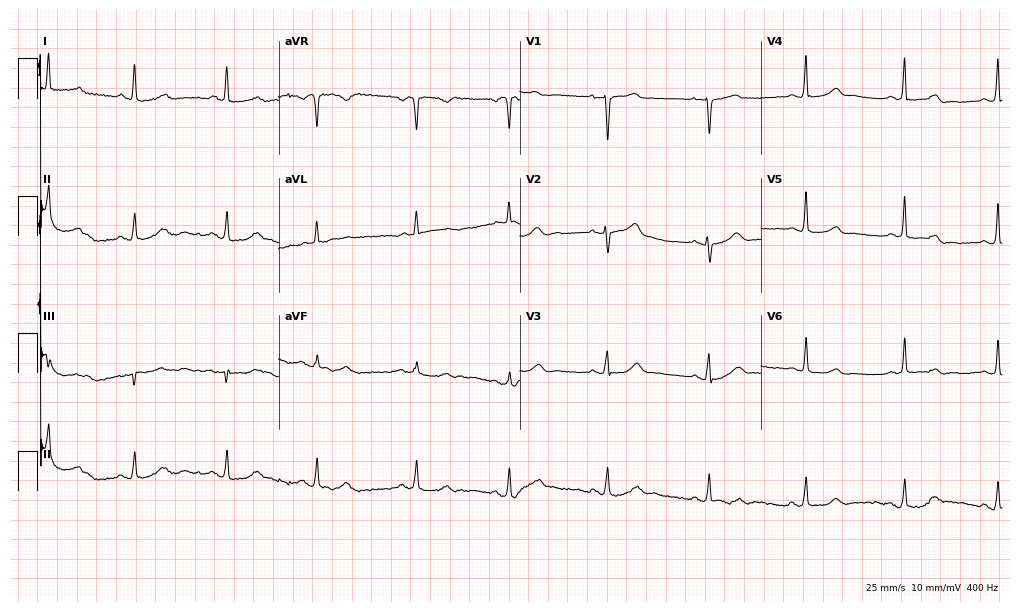
12-lead ECG from a female patient, 56 years old. Screened for six findings — first-degree AV block, right bundle branch block, left bundle branch block, sinus bradycardia, atrial fibrillation, sinus tachycardia — none is recorded. Only these six findings were labelled.